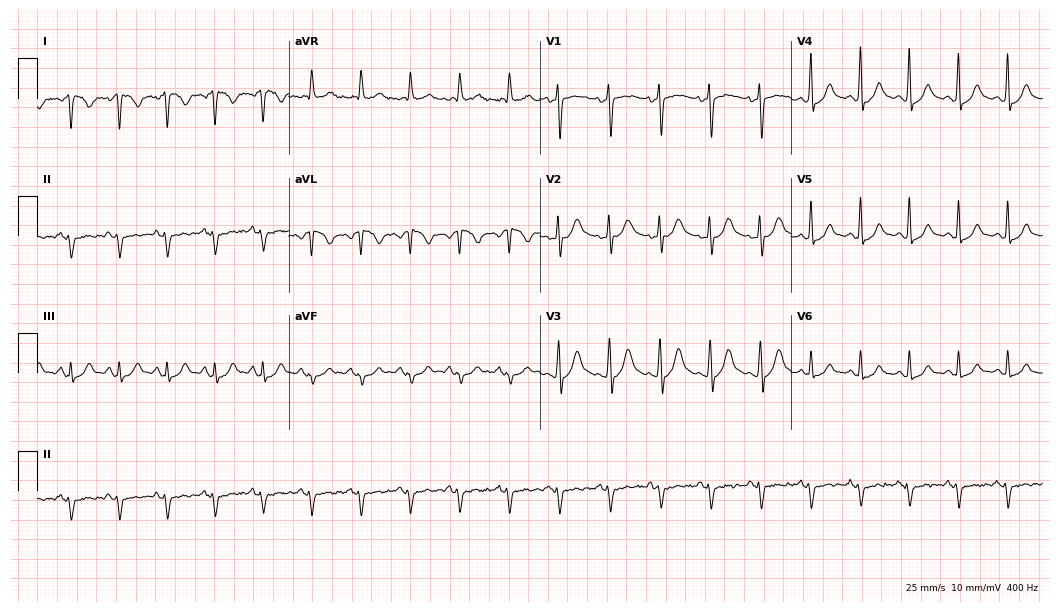
Electrocardiogram (10.2-second recording at 400 Hz), a male, 42 years old. Of the six screened findings (first-degree AV block, right bundle branch block, left bundle branch block, sinus bradycardia, atrial fibrillation, sinus tachycardia), none is recorded.